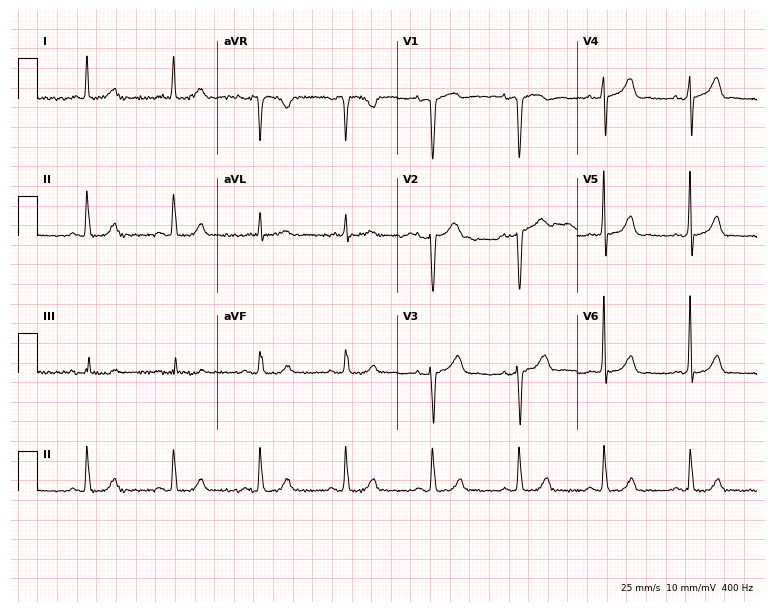
12-lead ECG from a woman, 80 years old. No first-degree AV block, right bundle branch block, left bundle branch block, sinus bradycardia, atrial fibrillation or sinus tachycardia recorded for this tracing.